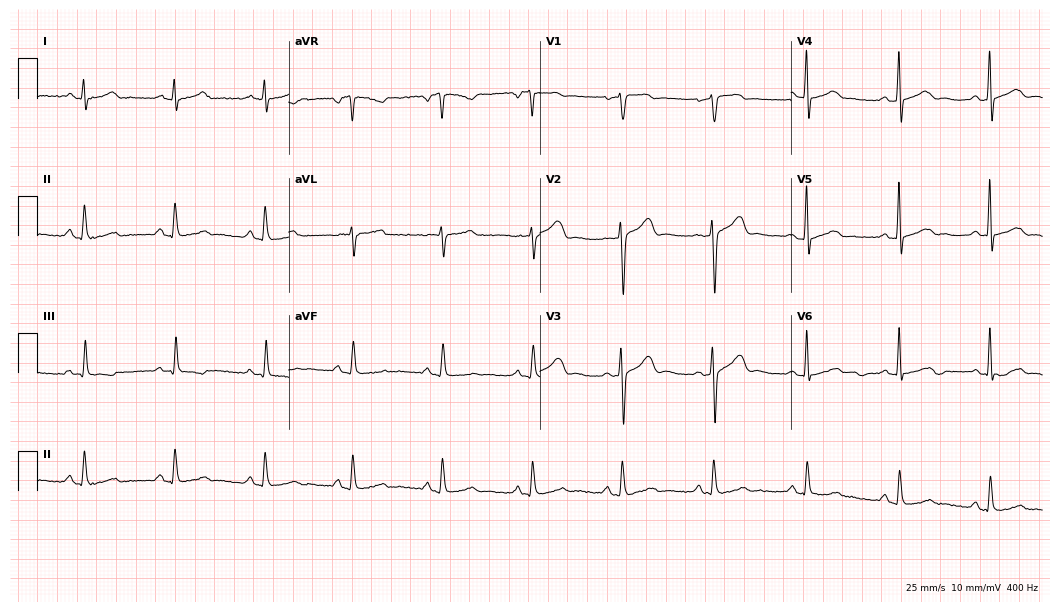
Resting 12-lead electrocardiogram (10.2-second recording at 400 Hz). Patient: a 45-year-old male. Read as a normal ECG.